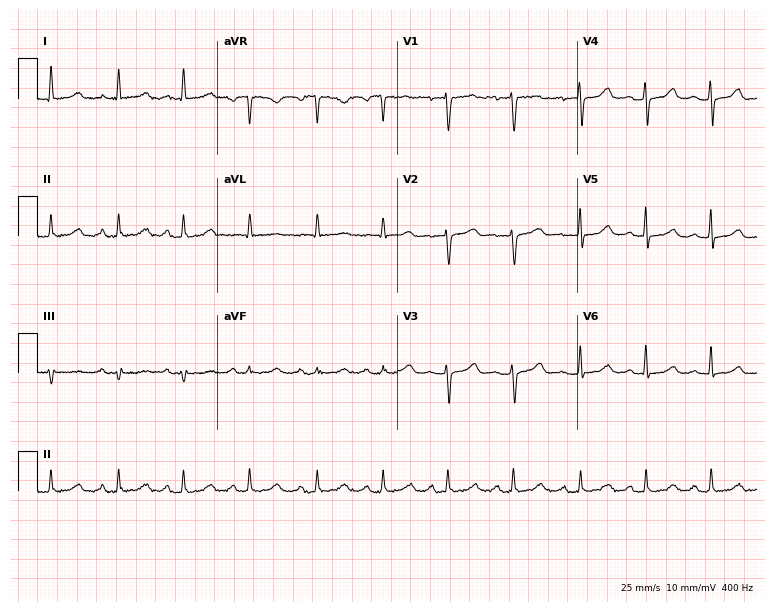
Standard 12-lead ECG recorded from a 63-year-old female (7.3-second recording at 400 Hz). None of these six findings is recorded: first-degree AV block, right bundle branch block (RBBB), left bundle branch block (LBBB), sinus bradycardia, atrial fibrillation (AF), sinus tachycardia.